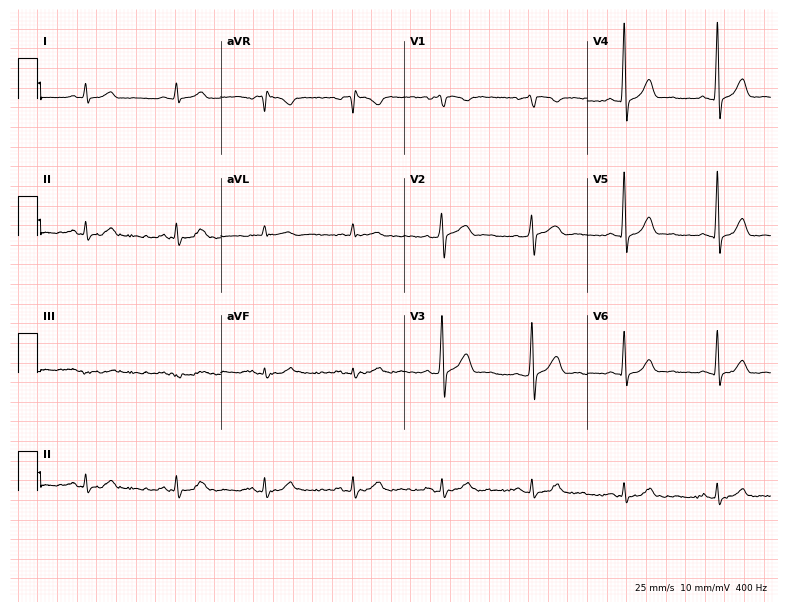
ECG — a male patient, 40 years old. Screened for six findings — first-degree AV block, right bundle branch block, left bundle branch block, sinus bradycardia, atrial fibrillation, sinus tachycardia — none is recorded. Other findings, if any, are not listed.